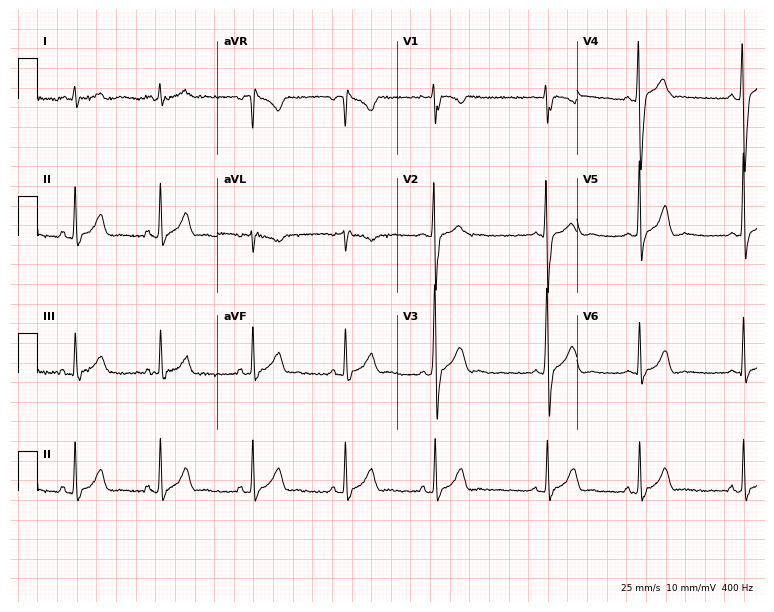
Electrocardiogram (7.3-second recording at 400 Hz), a male, 19 years old. Of the six screened findings (first-degree AV block, right bundle branch block, left bundle branch block, sinus bradycardia, atrial fibrillation, sinus tachycardia), none is recorded. Only these six findings were labelled.